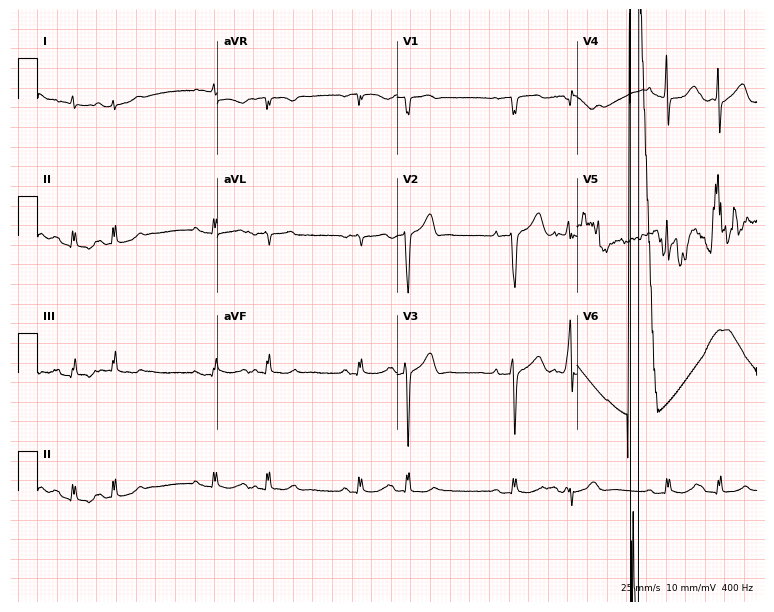
12-lead ECG from a 73-year-old male (7.3-second recording at 400 Hz). No first-degree AV block, right bundle branch block, left bundle branch block, sinus bradycardia, atrial fibrillation or sinus tachycardia recorded for this tracing.